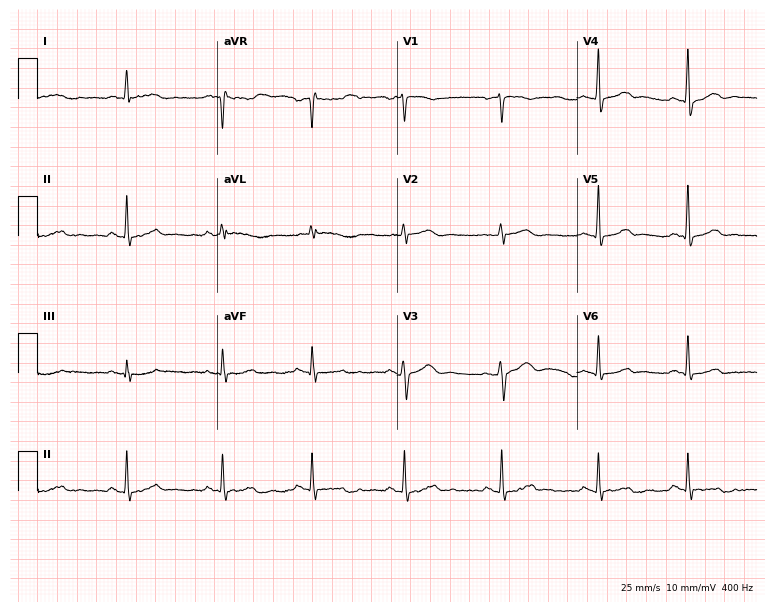
12-lead ECG (7.3-second recording at 400 Hz) from a 43-year-old male patient. Screened for six findings — first-degree AV block, right bundle branch block, left bundle branch block, sinus bradycardia, atrial fibrillation, sinus tachycardia — none is recorded. Only these six findings were labelled.